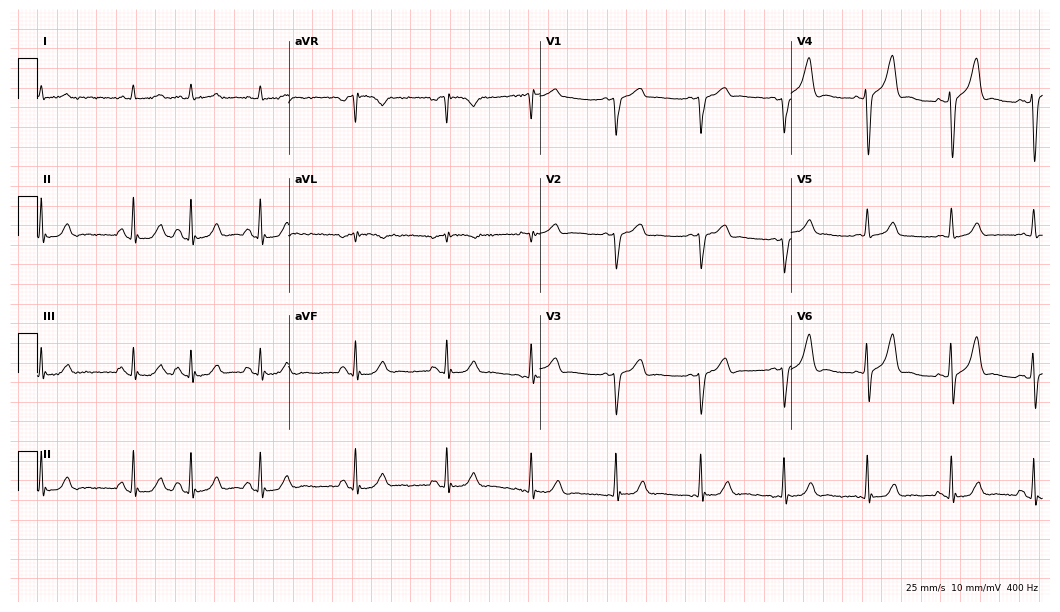
ECG — a man, 80 years old. Screened for six findings — first-degree AV block, right bundle branch block (RBBB), left bundle branch block (LBBB), sinus bradycardia, atrial fibrillation (AF), sinus tachycardia — none is recorded. Only these six findings were labelled.